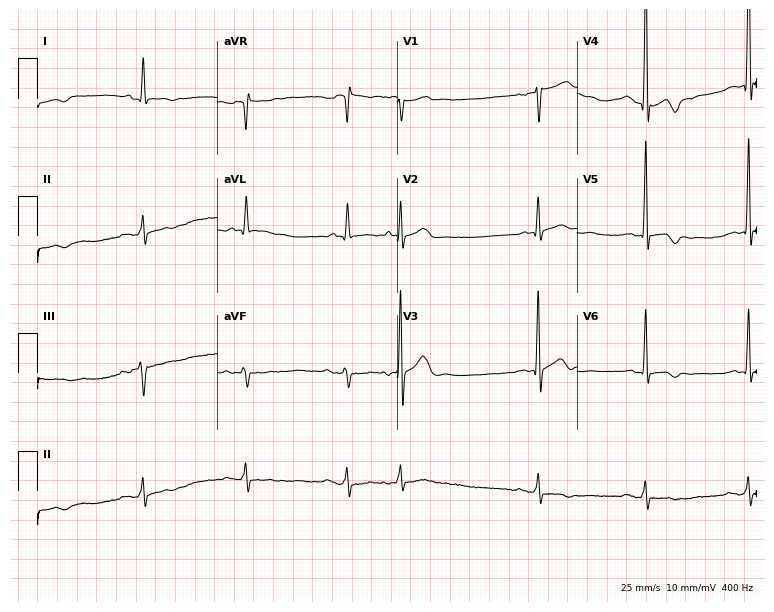
Standard 12-lead ECG recorded from a male, 78 years old. None of these six findings is recorded: first-degree AV block, right bundle branch block, left bundle branch block, sinus bradycardia, atrial fibrillation, sinus tachycardia.